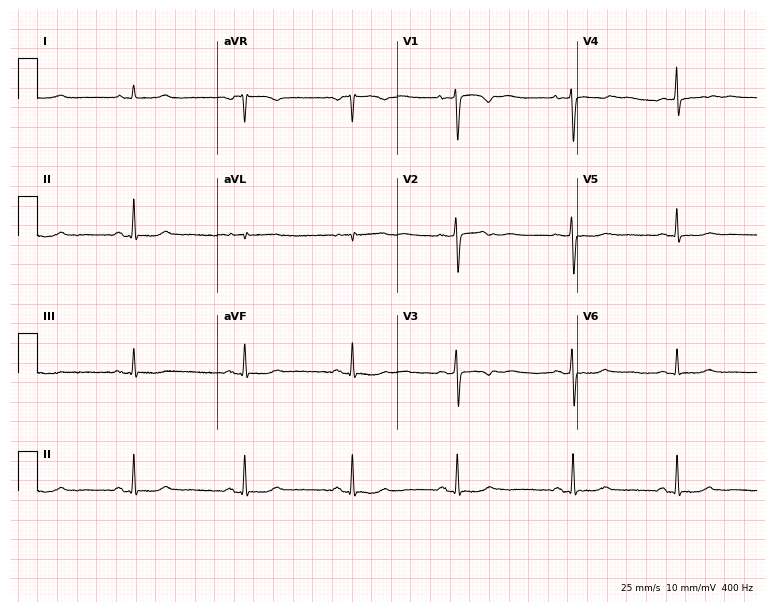
Standard 12-lead ECG recorded from a 46-year-old female (7.3-second recording at 400 Hz). Read as a normal ECG.